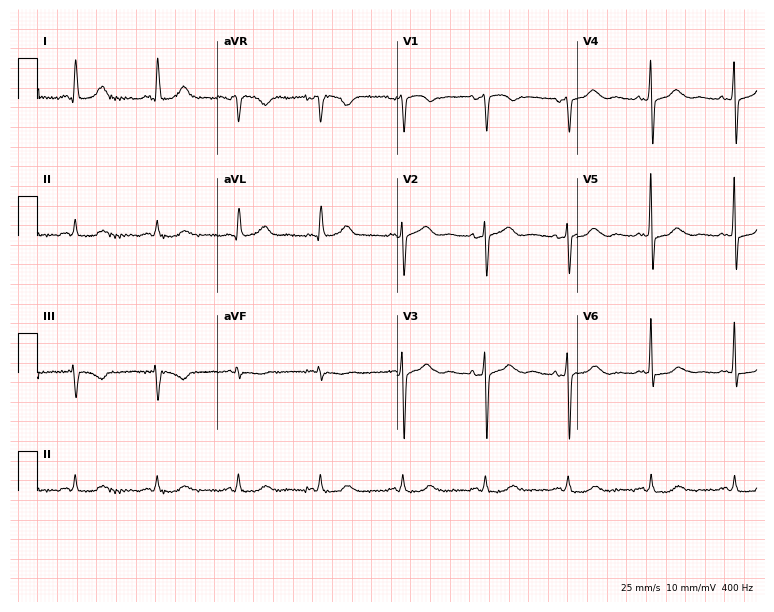
Resting 12-lead electrocardiogram (7.3-second recording at 400 Hz). Patient: a 75-year-old female. Read as a normal ECG.